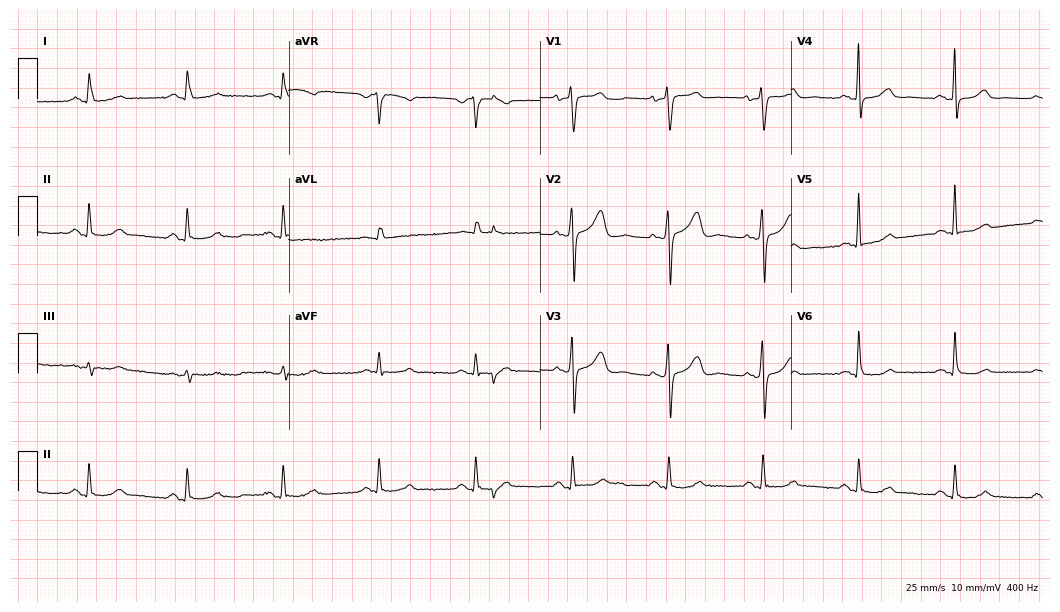
12-lead ECG from a 58-year-old female patient. No first-degree AV block, right bundle branch block, left bundle branch block, sinus bradycardia, atrial fibrillation or sinus tachycardia recorded for this tracing. Findings outside these six are not listed.